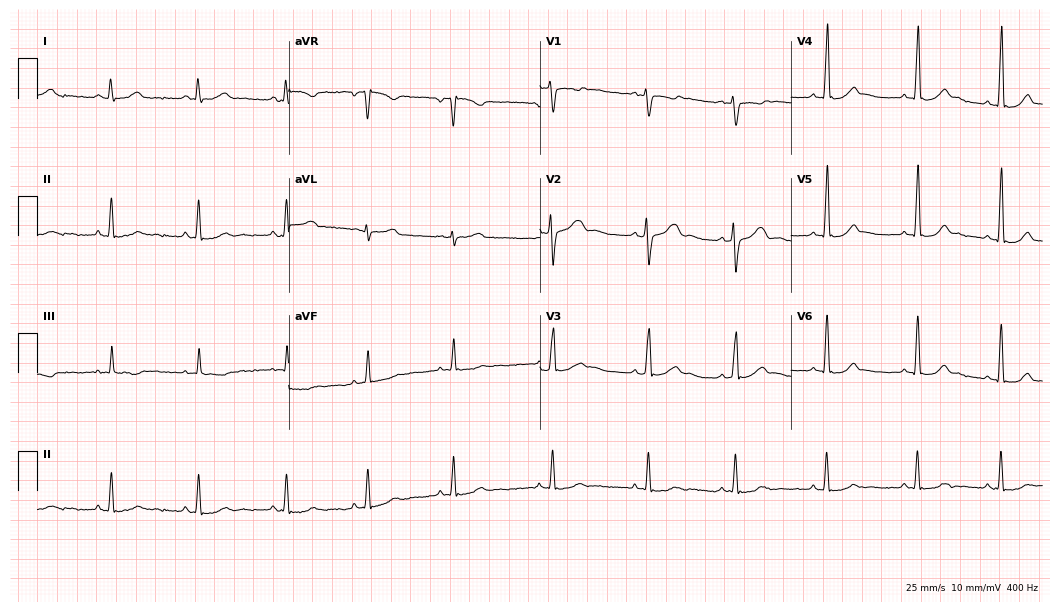
12-lead ECG (10.2-second recording at 400 Hz) from a 17-year-old female patient. Screened for six findings — first-degree AV block, right bundle branch block, left bundle branch block, sinus bradycardia, atrial fibrillation, sinus tachycardia — none is recorded.